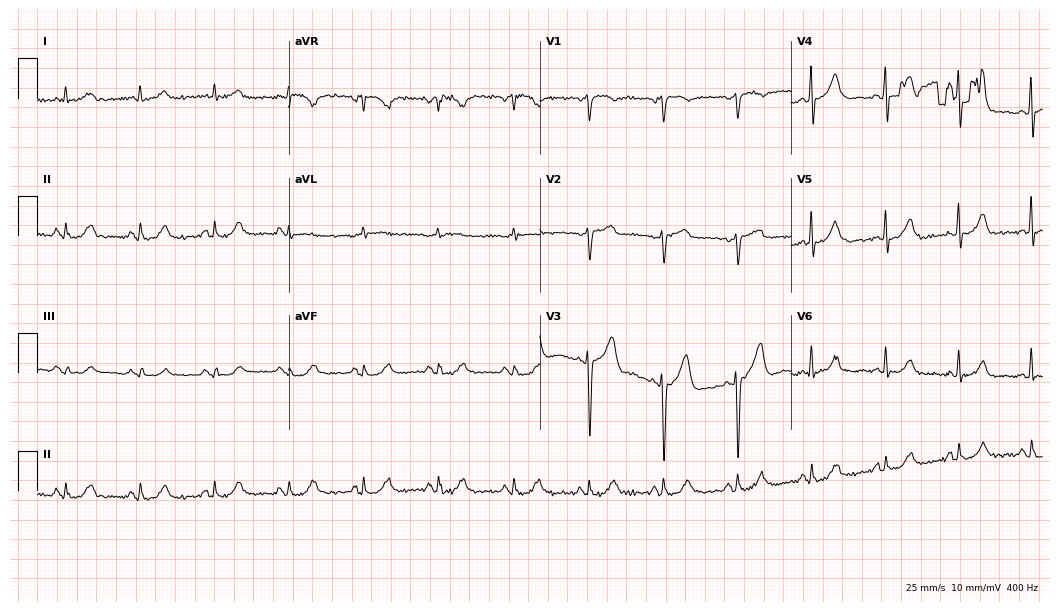
12-lead ECG (10.2-second recording at 400 Hz) from a male, 76 years old. Screened for six findings — first-degree AV block, right bundle branch block, left bundle branch block, sinus bradycardia, atrial fibrillation, sinus tachycardia — none is recorded.